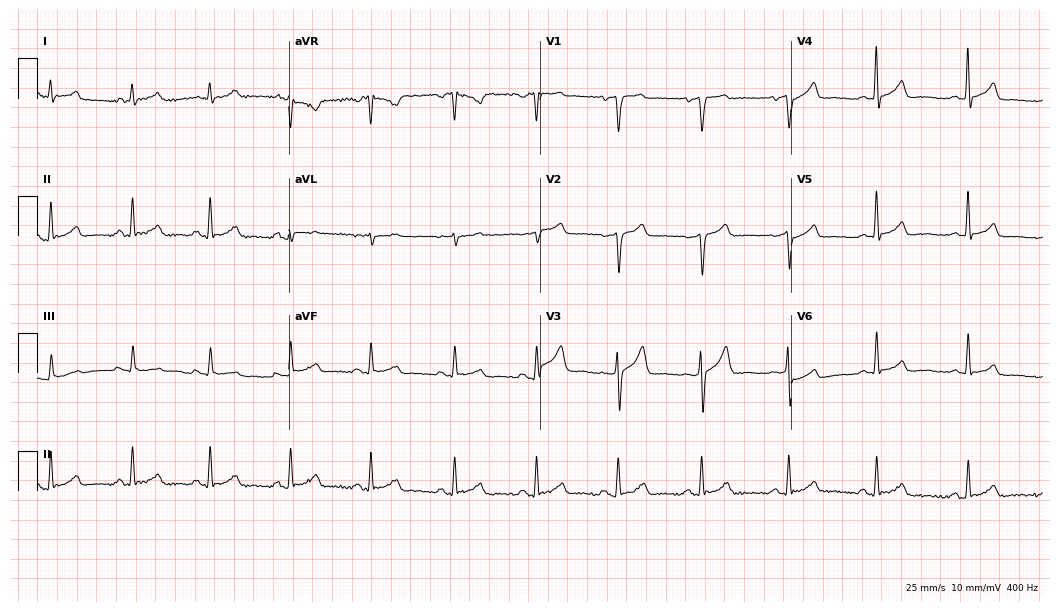
Standard 12-lead ECG recorded from a man, 51 years old. Read as a normal ECG.